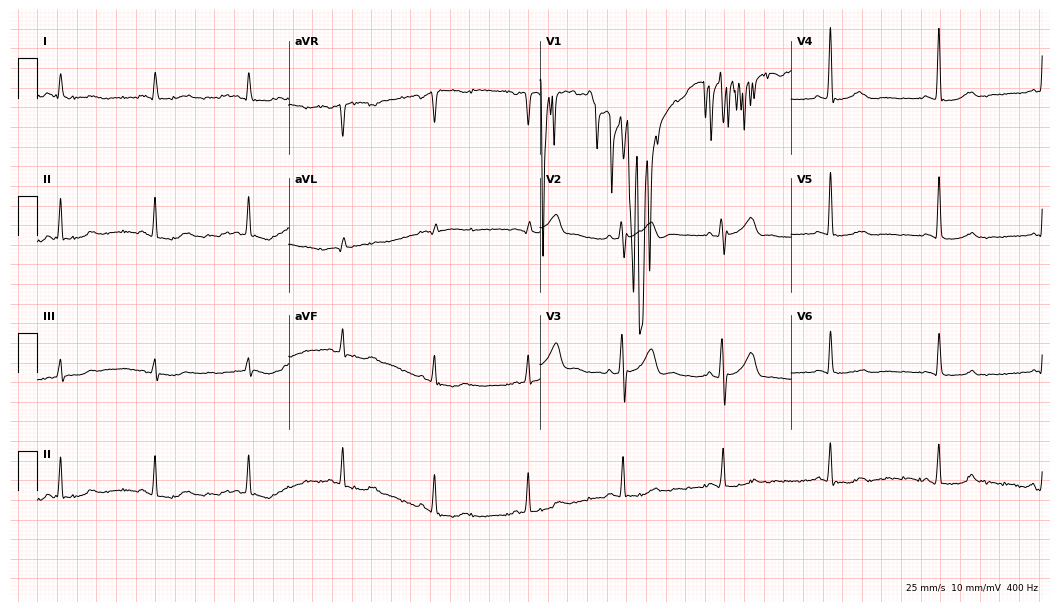
ECG — a man, 87 years old. Screened for six findings — first-degree AV block, right bundle branch block, left bundle branch block, sinus bradycardia, atrial fibrillation, sinus tachycardia — none is recorded. Only these six findings were labelled.